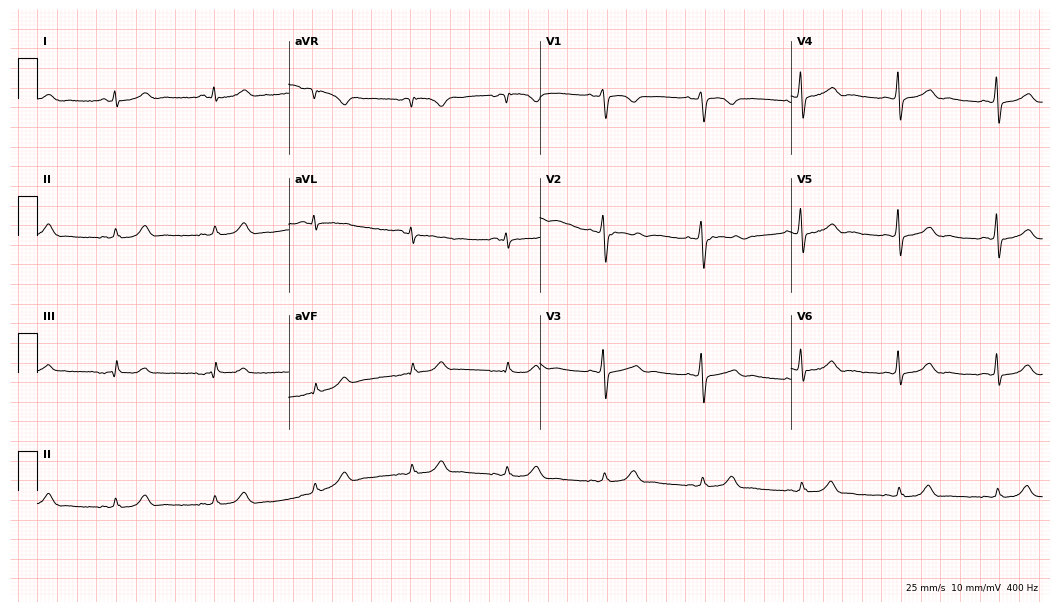
Standard 12-lead ECG recorded from a woman, 52 years old. Read as a normal ECG.